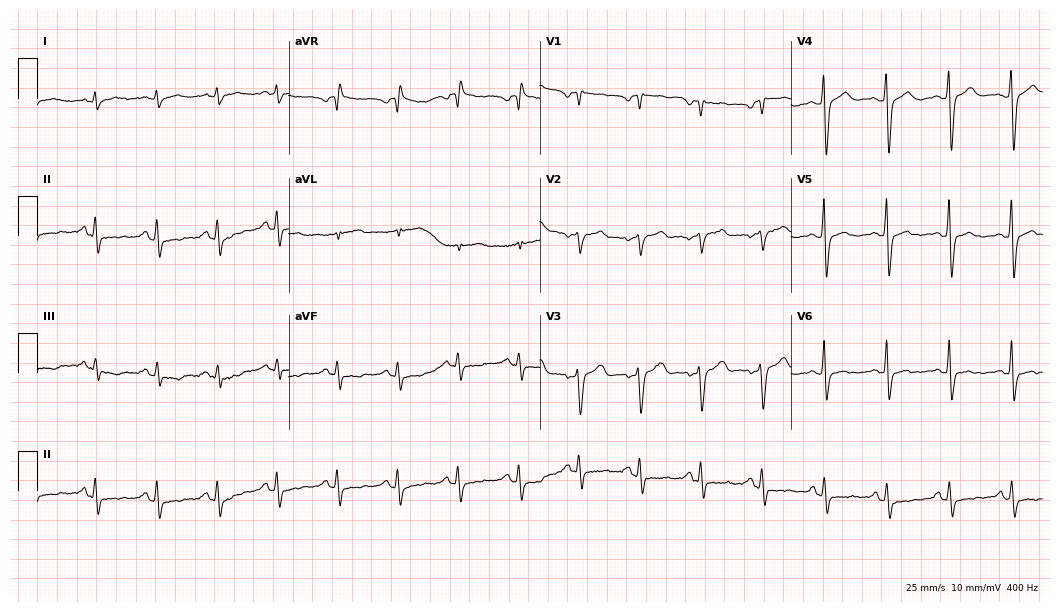
Electrocardiogram, a 63-year-old male. Of the six screened findings (first-degree AV block, right bundle branch block, left bundle branch block, sinus bradycardia, atrial fibrillation, sinus tachycardia), none is recorded. Findings outside these six are not listed.